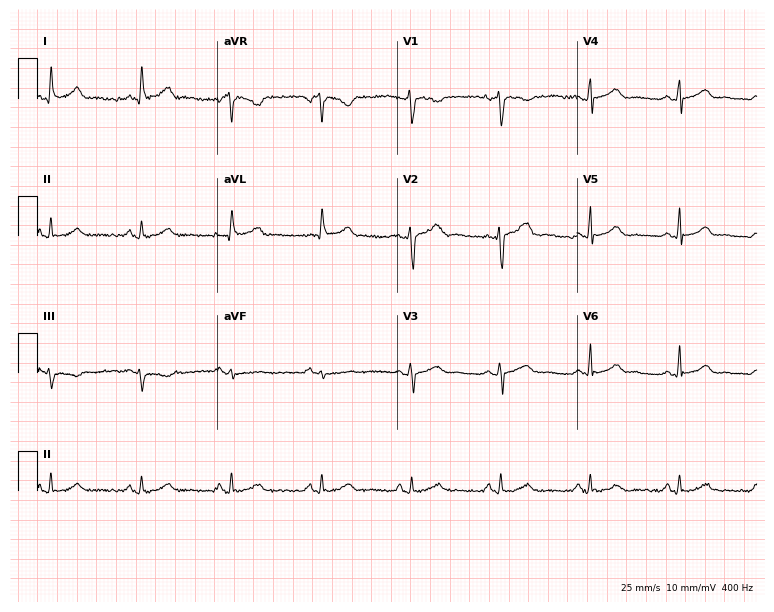
Electrocardiogram, a female, 36 years old. Overall reading on record: normal ECG.